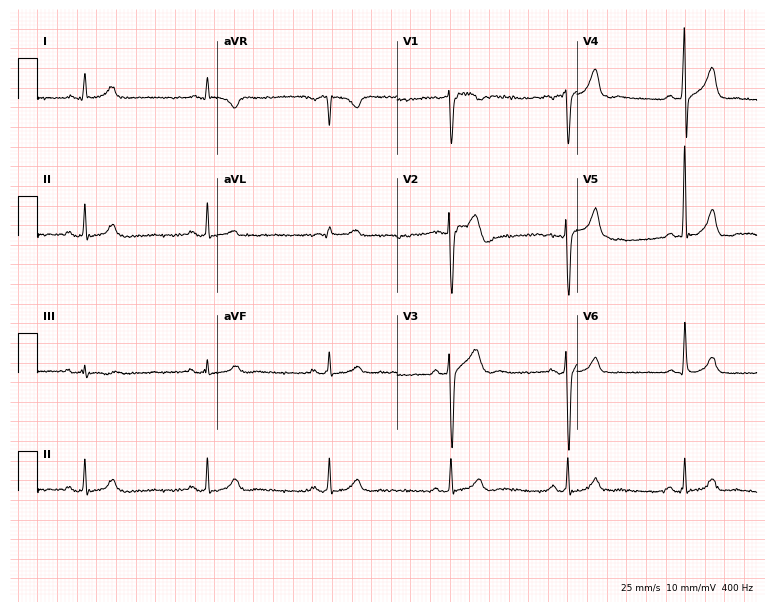
ECG (7.3-second recording at 400 Hz) — a 55-year-old male patient. Labelled as a normal ECG.